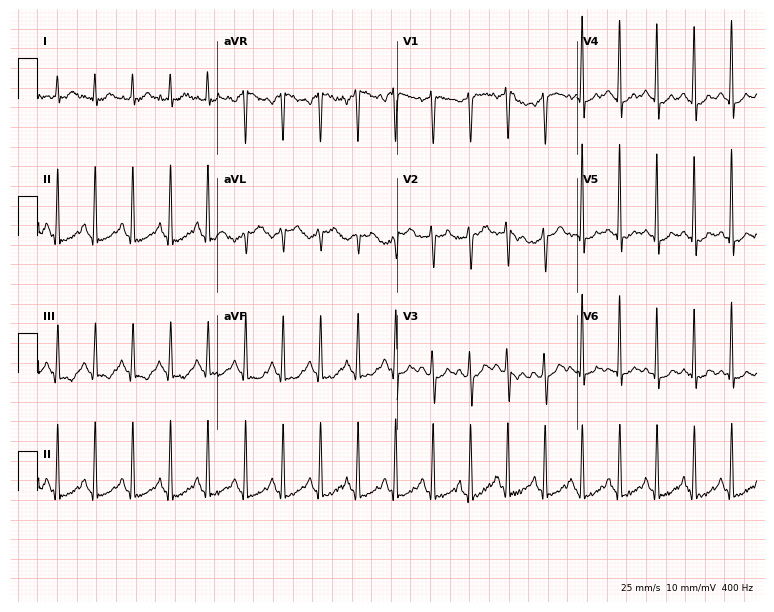
12-lead ECG (7.3-second recording at 400 Hz) from a woman, 43 years old. Findings include sinus tachycardia (a sinus rate of 100 beats per minute or more).